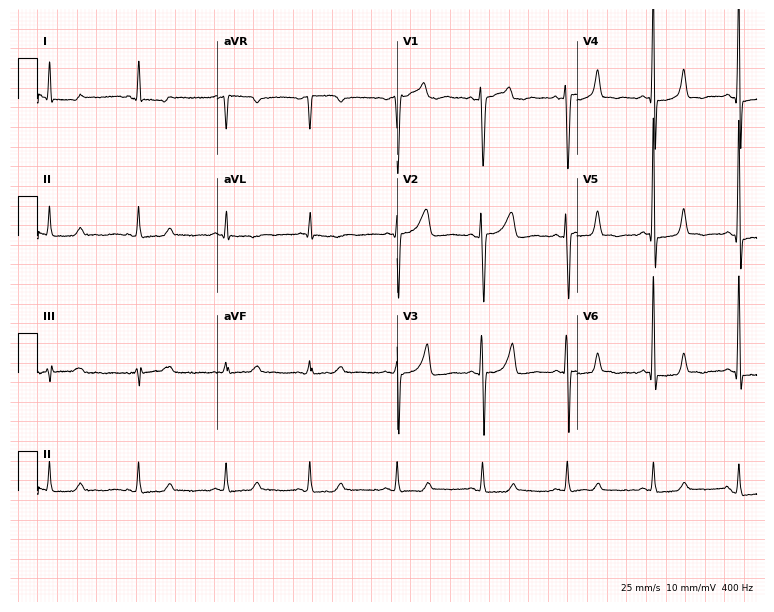
Electrocardiogram (7.3-second recording at 400 Hz), a male patient, 54 years old. Of the six screened findings (first-degree AV block, right bundle branch block, left bundle branch block, sinus bradycardia, atrial fibrillation, sinus tachycardia), none is recorded. Other findings, if any, are not listed.